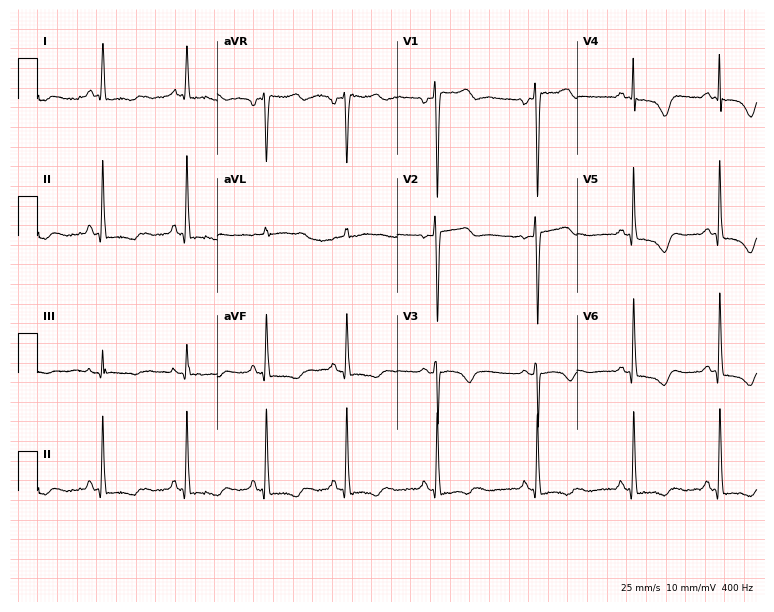
Standard 12-lead ECG recorded from a woman, 46 years old. None of these six findings is recorded: first-degree AV block, right bundle branch block (RBBB), left bundle branch block (LBBB), sinus bradycardia, atrial fibrillation (AF), sinus tachycardia. Only these six findings were labelled.